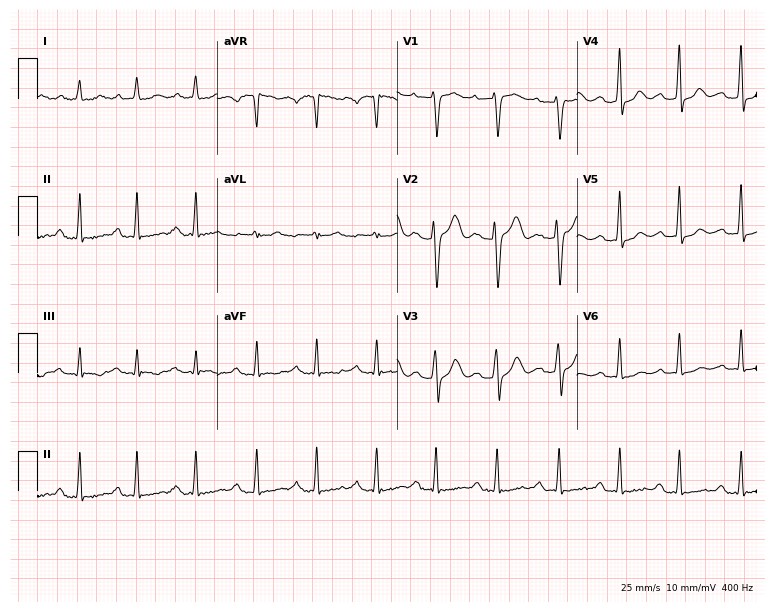
12-lead ECG from a woman, 29 years old. No first-degree AV block, right bundle branch block (RBBB), left bundle branch block (LBBB), sinus bradycardia, atrial fibrillation (AF) or sinus tachycardia recorded for this tracing.